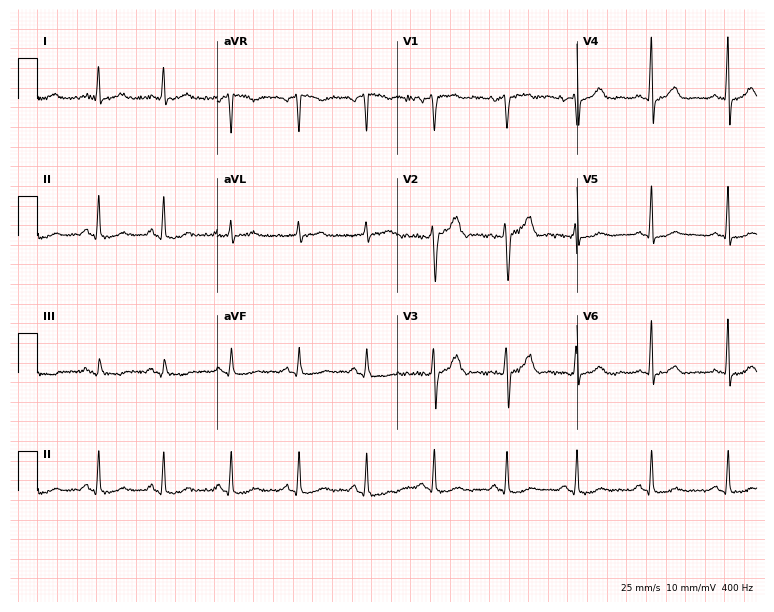
12-lead ECG from a male, 56 years old (7.3-second recording at 400 Hz). No first-degree AV block, right bundle branch block (RBBB), left bundle branch block (LBBB), sinus bradycardia, atrial fibrillation (AF) or sinus tachycardia recorded for this tracing. Only these six findings were labelled.